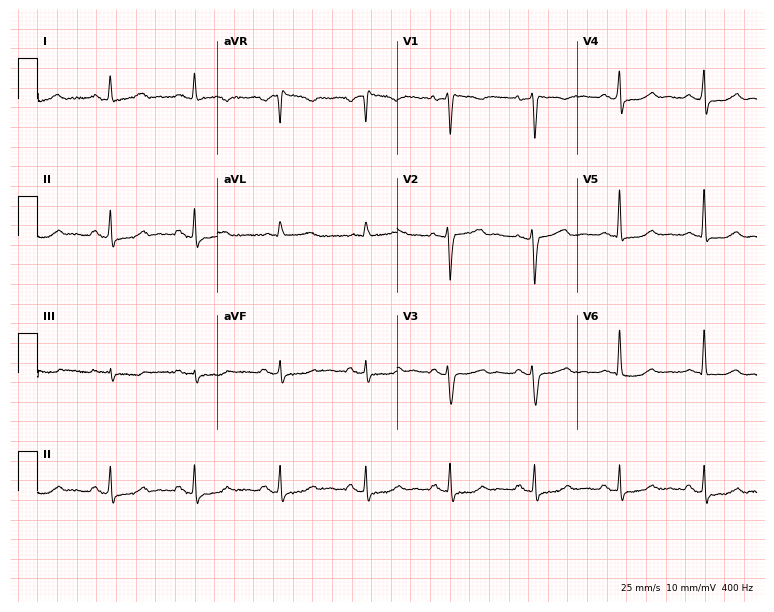
12-lead ECG from a female, 54 years old. No first-degree AV block, right bundle branch block (RBBB), left bundle branch block (LBBB), sinus bradycardia, atrial fibrillation (AF) or sinus tachycardia recorded for this tracing.